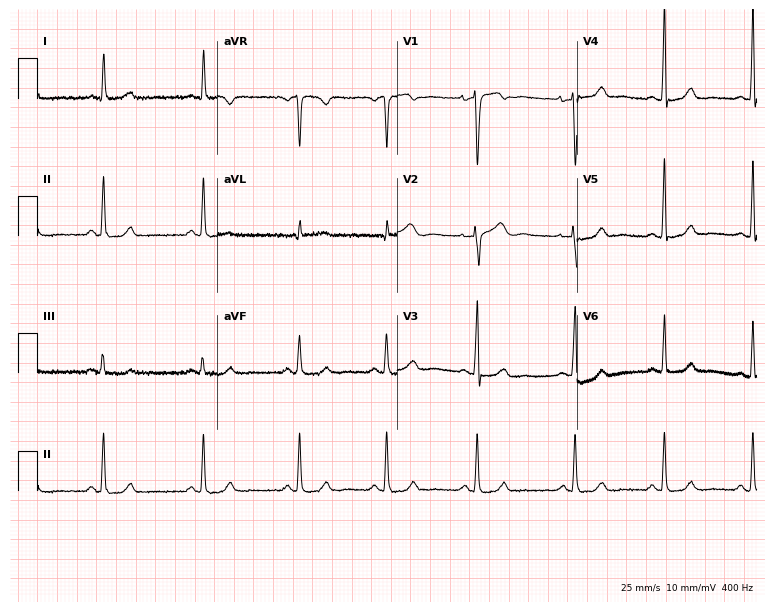
ECG — a 38-year-old woman. Labelled as a normal ECG.